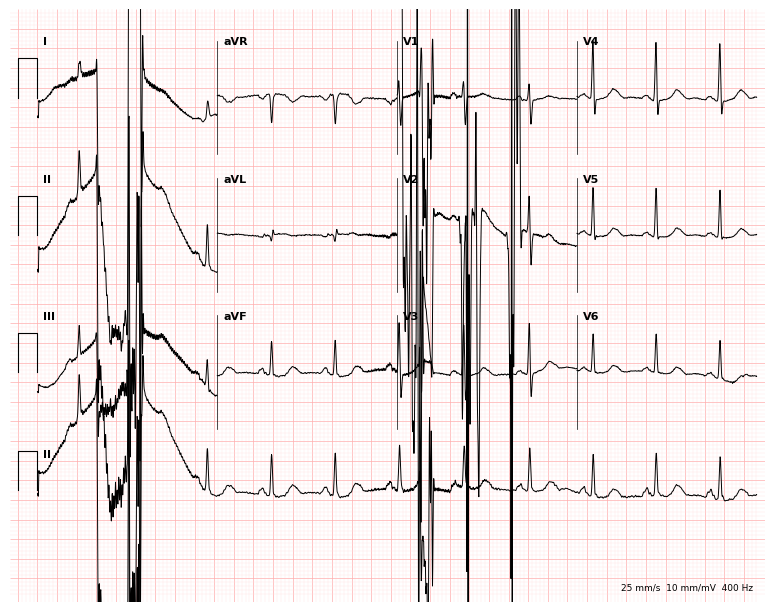
12-lead ECG from a 65-year-old female. No first-degree AV block, right bundle branch block, left bundle branch block, sinus bradycardia, atrial fibrillation or sinus tachycardia recorded for this tracing.